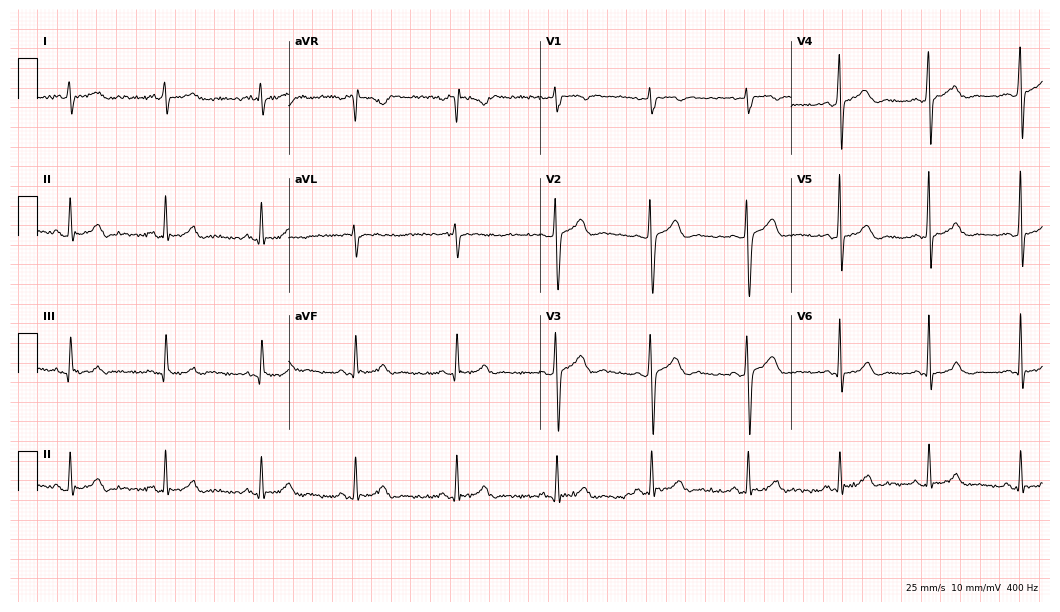
Resting 12-lead electrocardiogram (10.2-second recording at 400 Hz). Patient: a male, 26 years old. Read as a normal ECG.